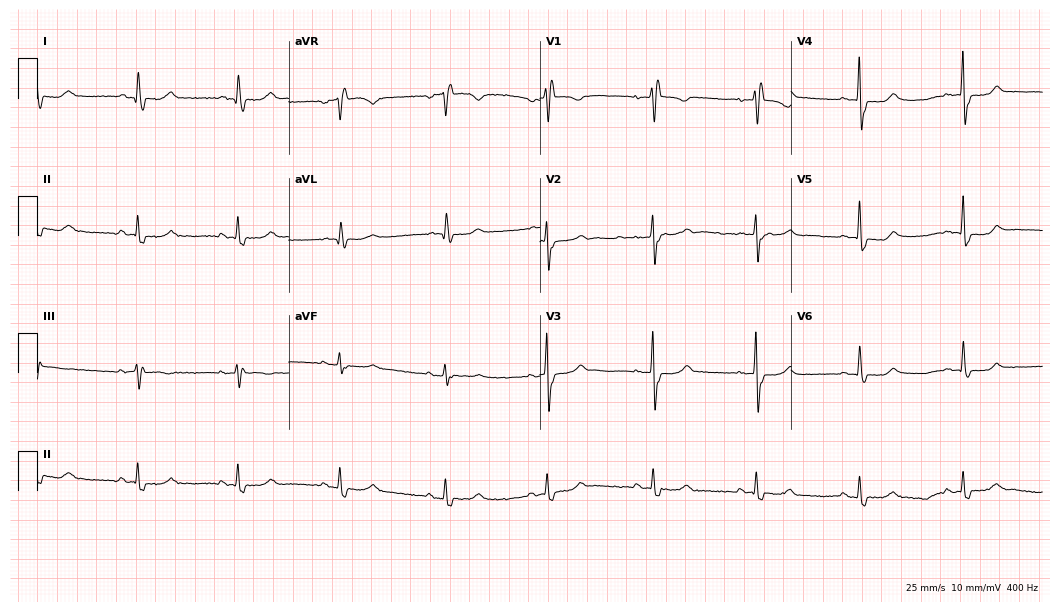
12-lead ECG from a 70-year-old female. No first-degree AV block, right bundle branch block (RBBB), left bundle branch block (LBBB), sinus bradycardia, atrial fibrillation (AF) or sinus tachycardia recorded for this tracing.